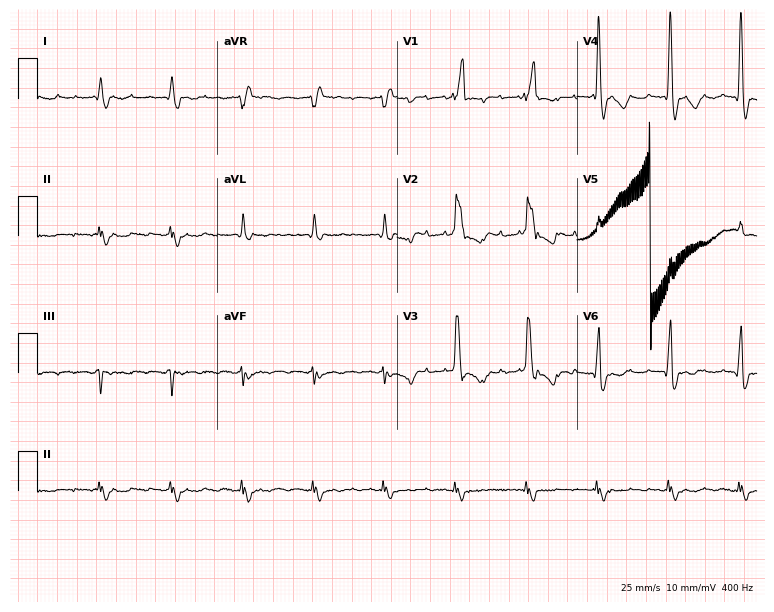
Electrocardiogram (7.3-second recording at 400 Hz), an 85-year-old male. Of the six screened findings (first-degree AV block, right bundle branch block, left bundle branch block, sinus bradycardia, atrial fibrillation, sinus tachycardia), none is recorded. Findings outside these six are not listed.